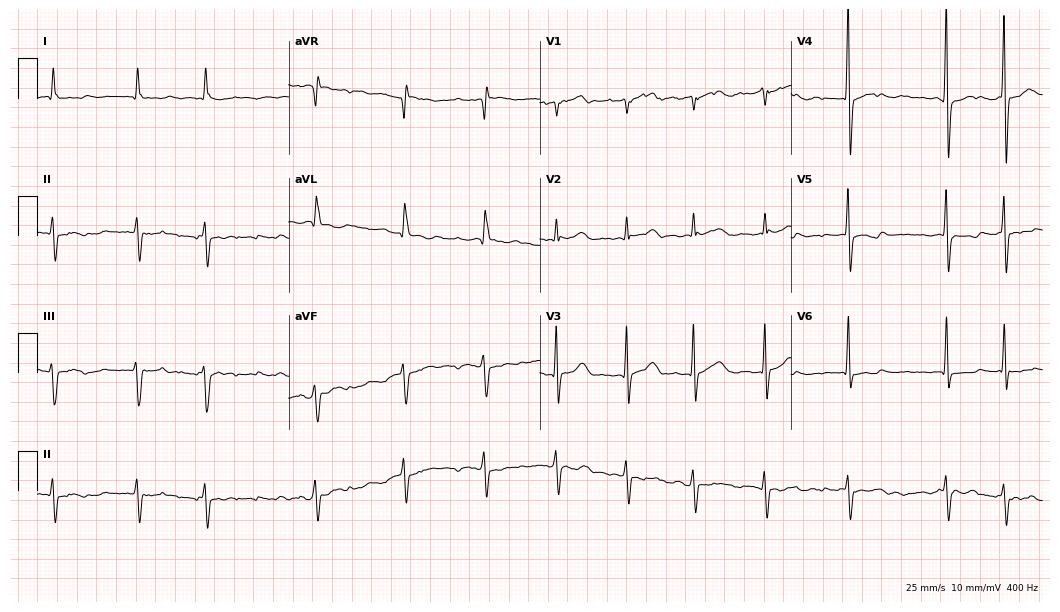
Electrocardiogram (10.2-second recording at 400 Hz), a man, 64 years old. Of the six screened findings (first-degree AV block, right bundle branch block, left bundle branch block, sinus bradycardia, atrial fibrillation, sinus tachycardia), none is recorded.